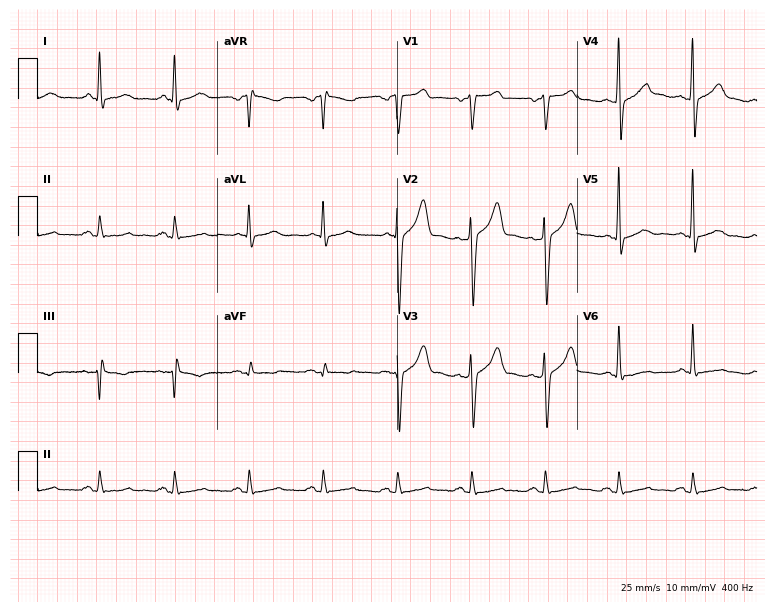
Electrocardiogram, a man, 51 years old. Overall reading on record: normal ECG.